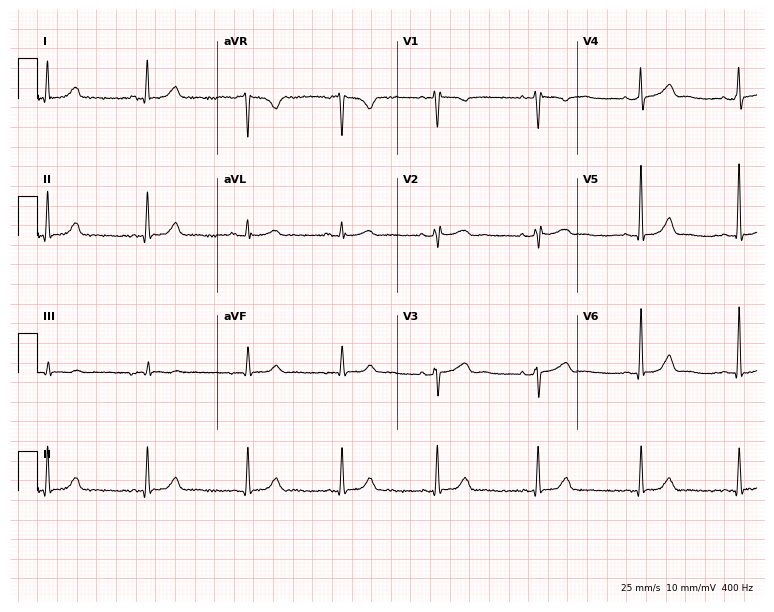
Standard 12-lead ECG recorded from a female, 31 years old (7.3-second recording at 400 Hz). None of these six findings is recorded: first-degree AV block, right bundle branch block, left bundle branch block, sinus bradycardia, atrial fibrillation, sinus tachycardia. Findings outside these six are not listed.